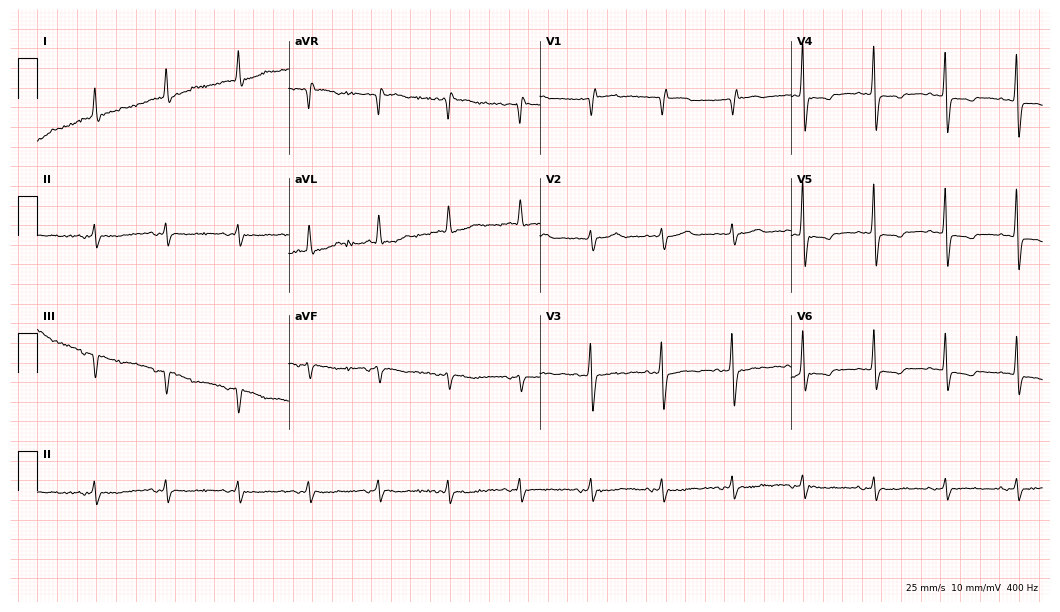
12-lead ECG from a 79-year-old woman. No first-degree AV block, right bundle branch block, left bundle branch block, sinus bradycardia, atrial fibrillation or sinus tachycardia recorded for this tracing. Other findings, if any, are not listed.